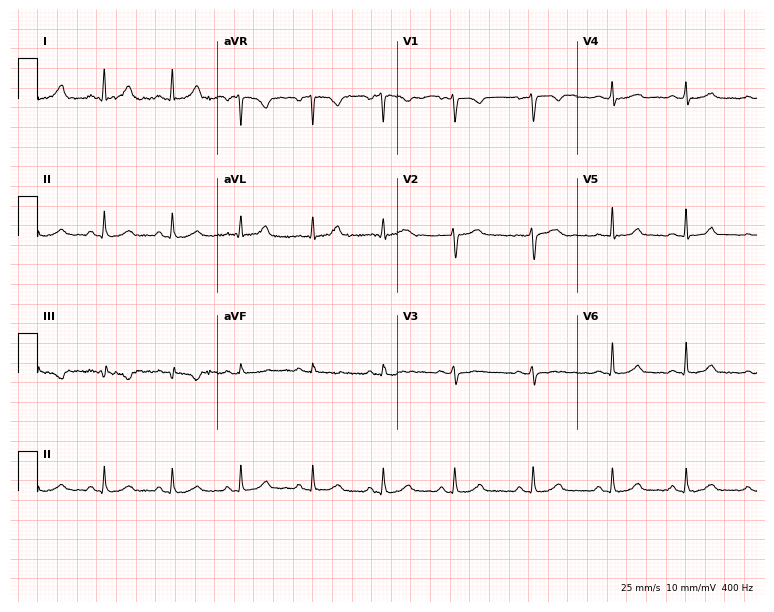
12-lead ECG from a female patient, 41 years old. Recorded interpretation: within normal limits.